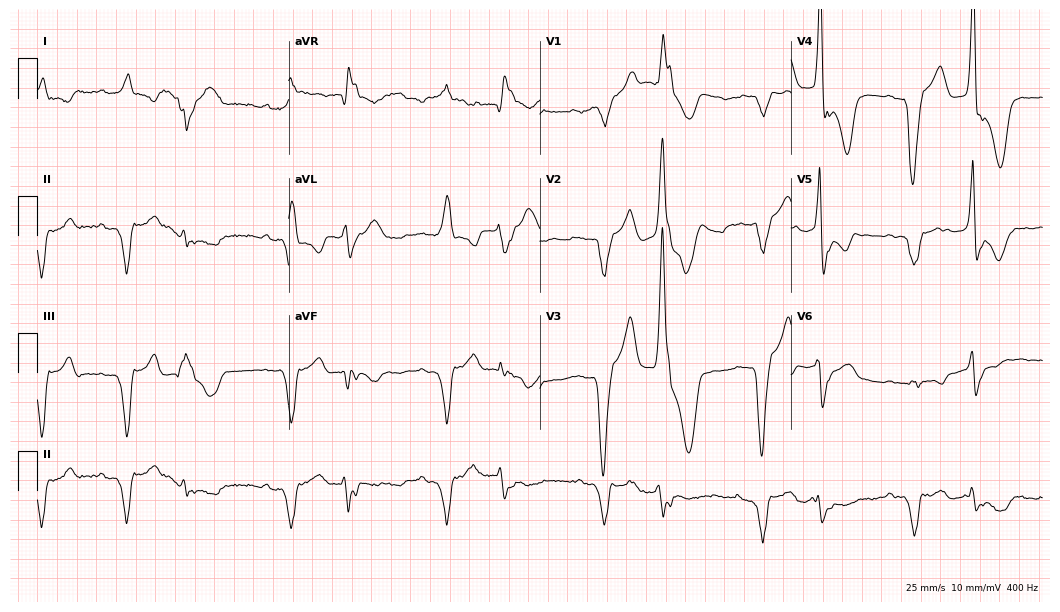
Electrocardiogram, a male patient, 56 years old. Of the six screened findings (first-degree AV block, right bundle branch block (RBBB), left bundle branch block (LBBB), sinus bradycardia, atrial fibrillation (AF), sinus tachycardia), none is recorded. Only these six findings were labelled.